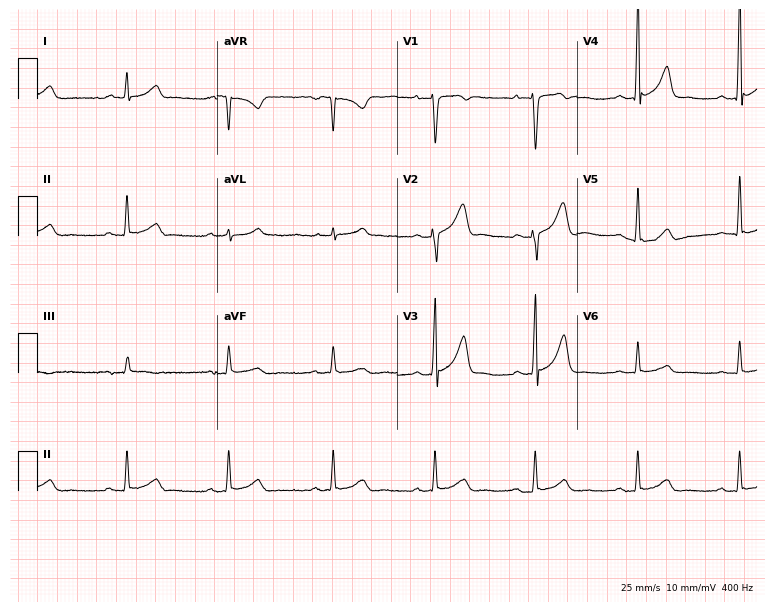
12-lead ECG from a 40-year-old male. No first-degree AV block, right bundle branch block, left bundle branch block, sinus bradycardia, atrial fibrillation or sinus tachycardia recorded for this tracing. Findings outside these six are not listed.